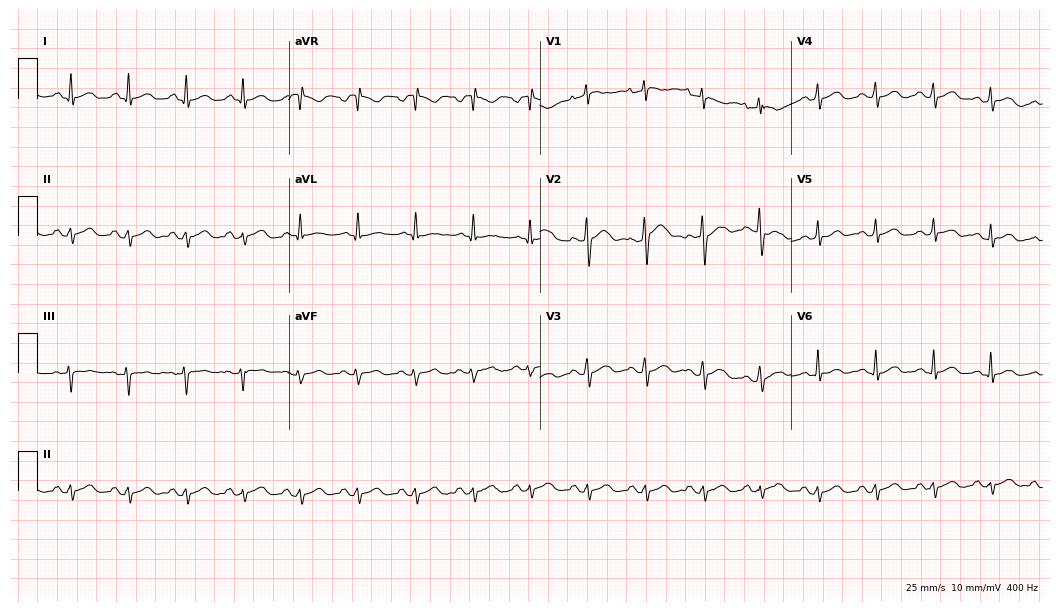
12-lead ECG from a male, 31 years old. Findings include sinus tachycardia (a sinus rate of 100 beats per minute or more).